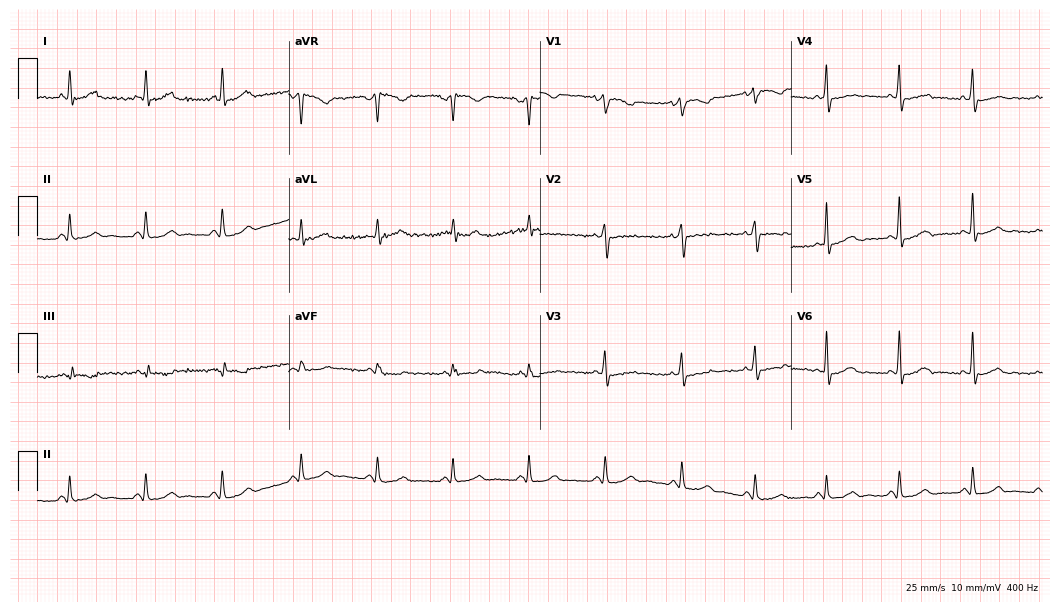
12-lead ECG from a 49-year-old female. No first-degree AV block, right bundle branch block (RBBB), left bundle branch block (LBBB), sinus bradycardia, atrial fibrillation (AF) or sinus tachycardia recorded for this tracing.